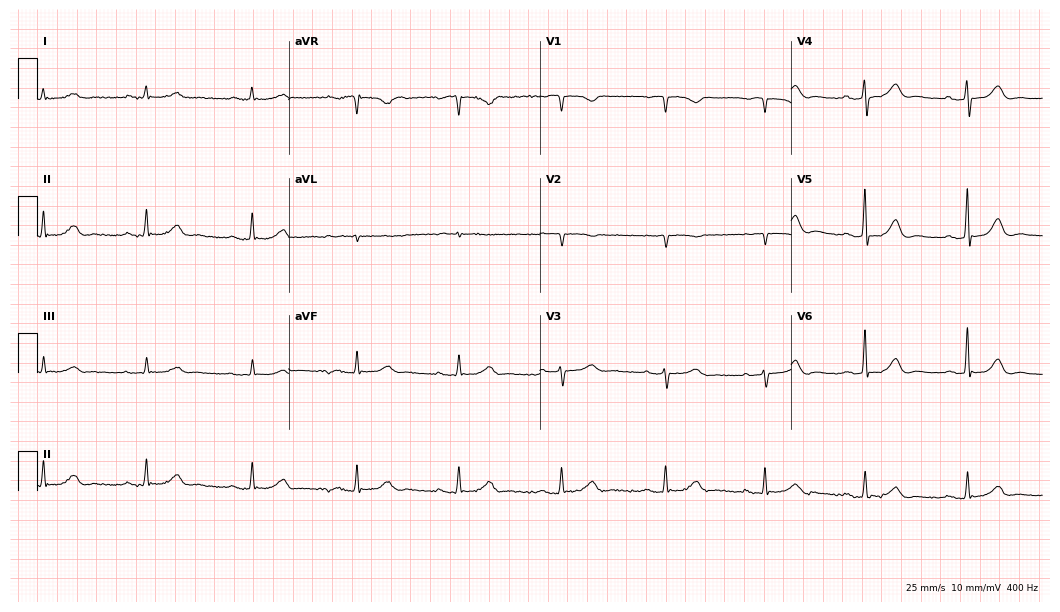
12-lead ECG from a man, 72 years old. Recorded interpretation: within normal limits.